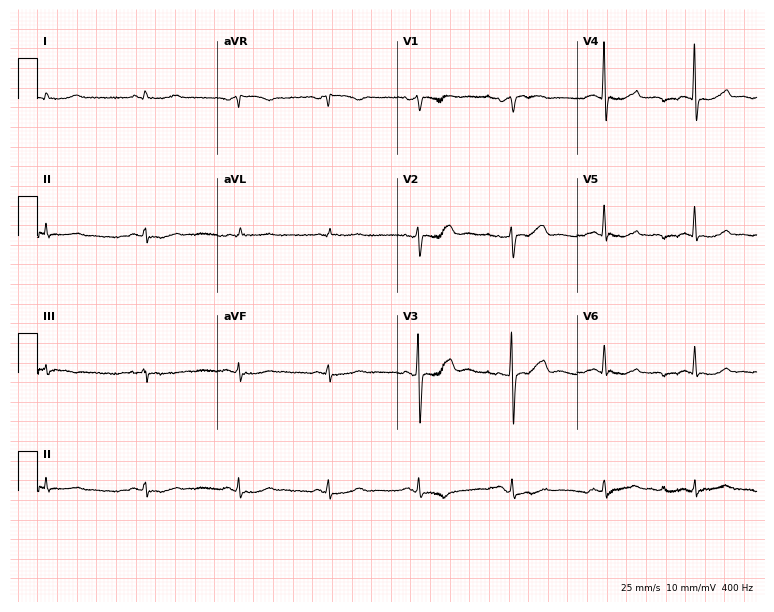
ECG (7.3-second recording at 400 Hz) — a female, 82 years old. Screened for six findings — first-degree AV block, right bundle branch block, left bundle branch block, sinus bradycardia, atrial fibrillation, sinus tachycardia — none is recorded.